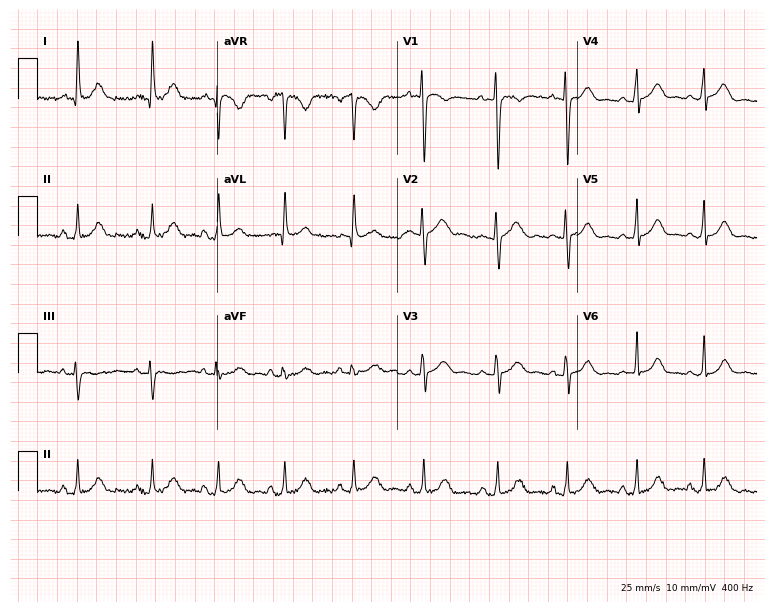
Electrocardiogram, a 24-year-old woman. Overall reading on record: normal ECG.